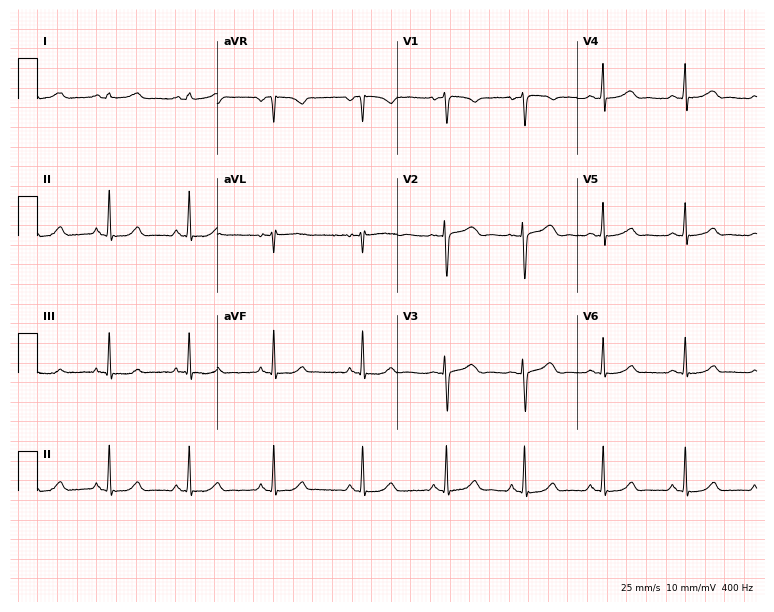
Standard 12-lead ECG recorded from a 19-year-old female patient. Read as a normal ECG.